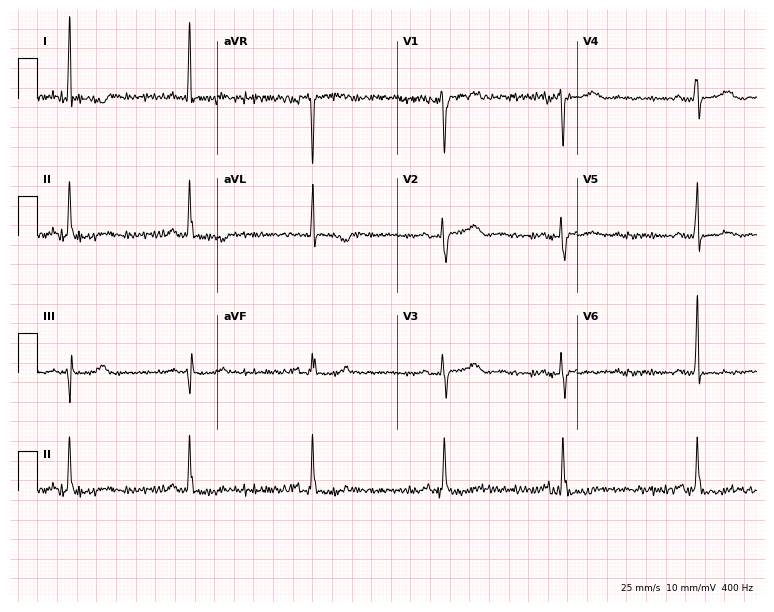
ECG — a female, 51 years old. Findings include sinus bradycardia (a sinus rate of 50 beats per minute or less).